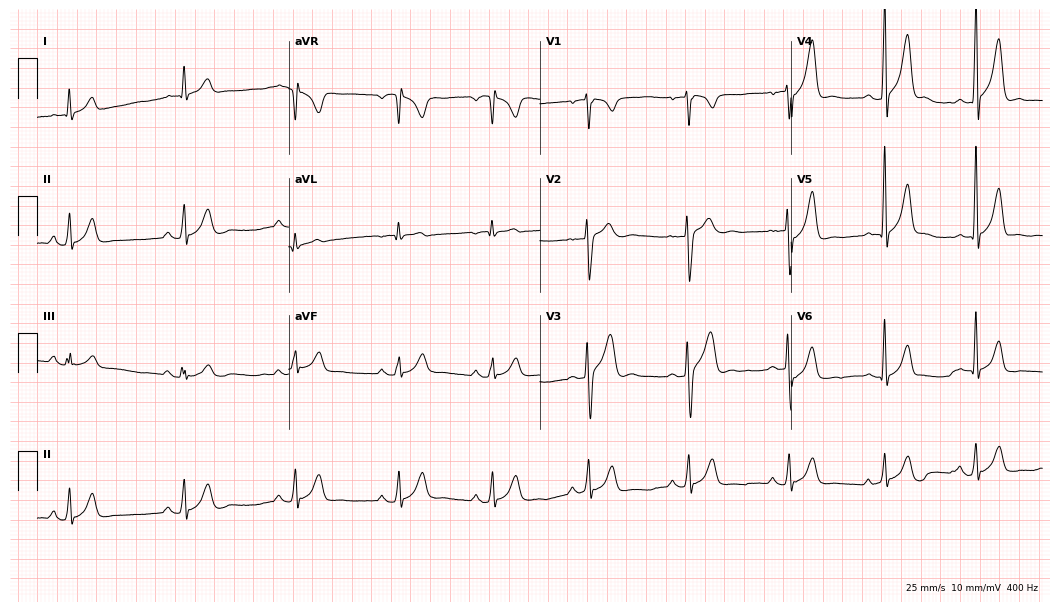
12-lead ECG from a man, 19 years old. Labelled as a normal ECG.